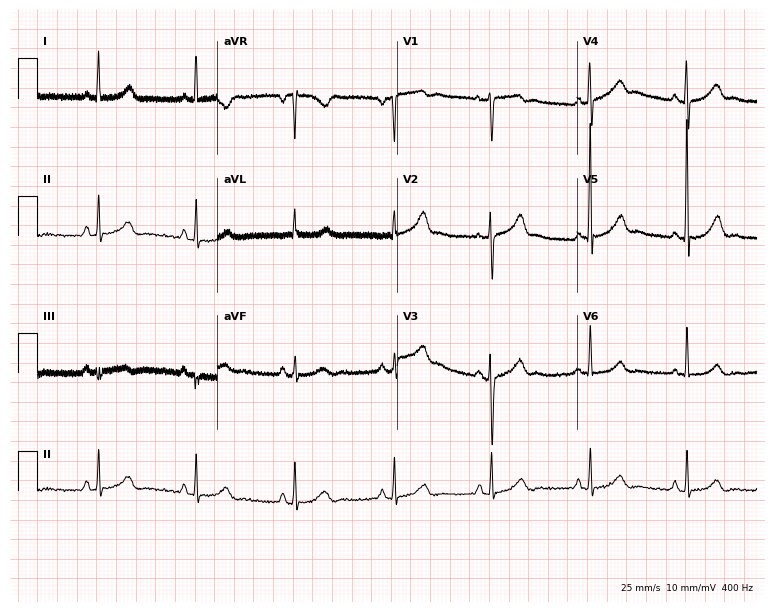
12-lead ECG (7.3-second recording at 400 Hz) from a man, 54 years old. Labelled as a normal ECG.